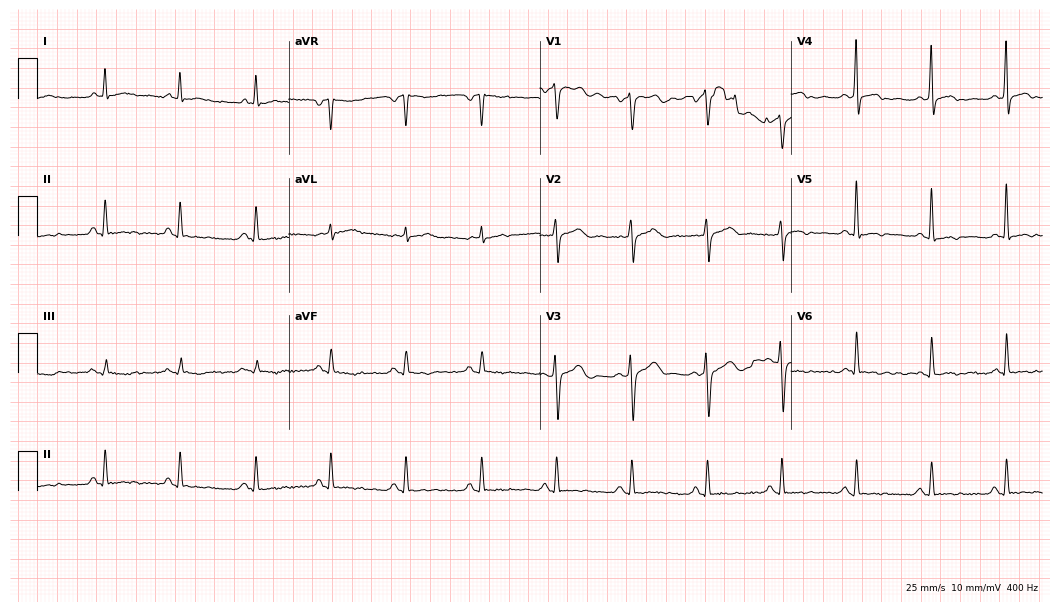
Resting 12-lead electrocardiogram. Patient: a 65-year-old man. Read as a normal ECG.